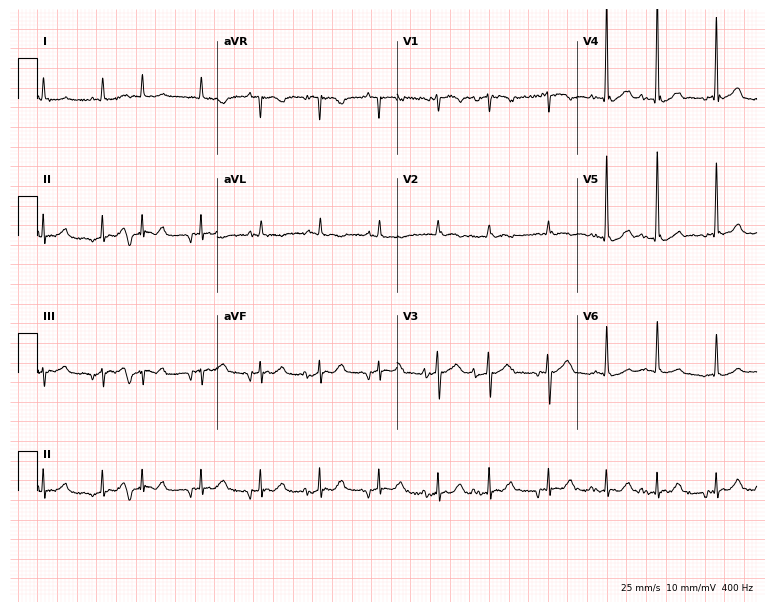
Electrocardiogram (7.3-second recording at 400 Hz), a man, 85 years old. Of the six screened findings (first-degree AV block, right bundle branch block, left bundle branch block, sinus bradycardia, atrial fibrillation, sinus tachycardia), none is recorded. Other findings, if any, are not listed.